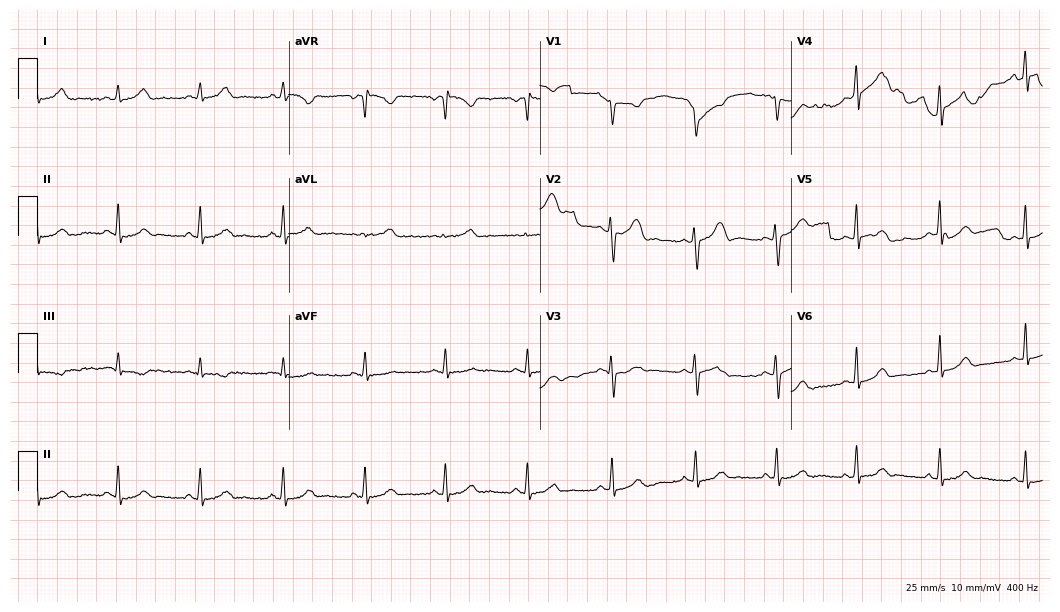
Standard 12-lead ECG recorded from a 20-year-old female. None of these six findings is recorded: first-degree AV block, right bundle branch block (RBBB), left bundle branch block (LBBB), sinus bradycardia, atrial fibrillation (AF), sinus tachycardia.